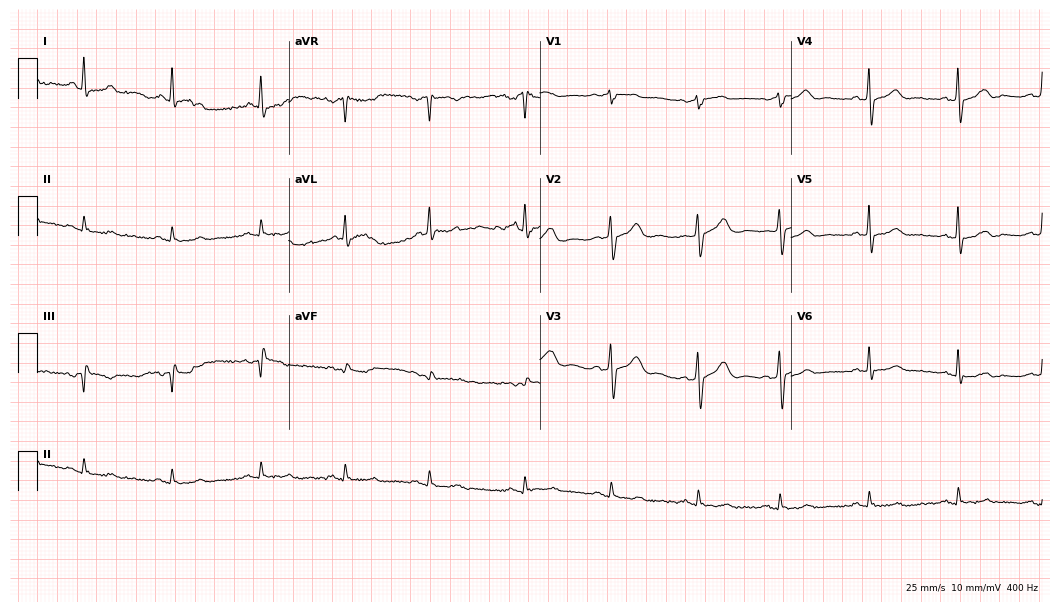
Electrocardiogram, a female, 61 years old. Overall reading on record: normal ECG.